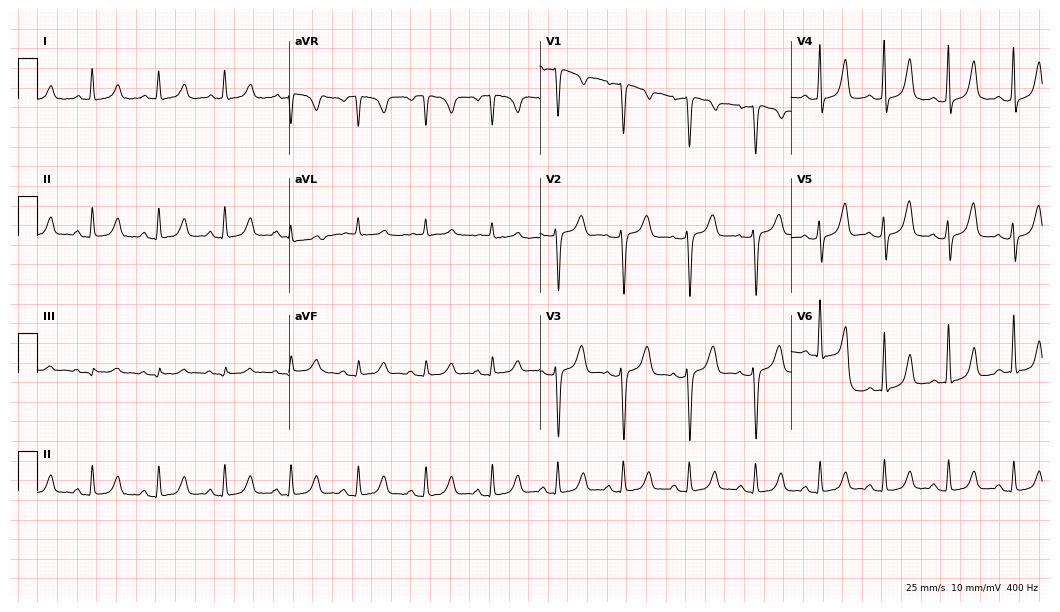
Resting 12-lead electrocardiogram (10.2-second recording at 400 Hz). Patient: a 40-year-old woman. Read as a normal ECG.